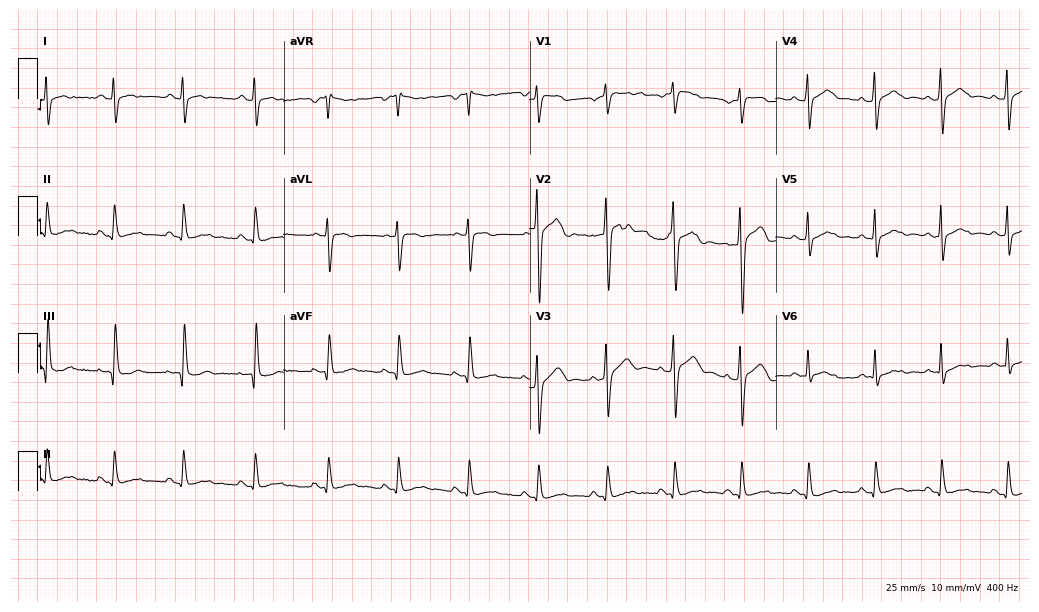
12-lead ECG from a 31-year-old male. Screened for six findings — first-degree AV block, right bundle branch block, left bundle branch block, sinus bradycardia, atrial fibrillation, sinus tachycardia — none is recorded. Findings outside these six are not listed.